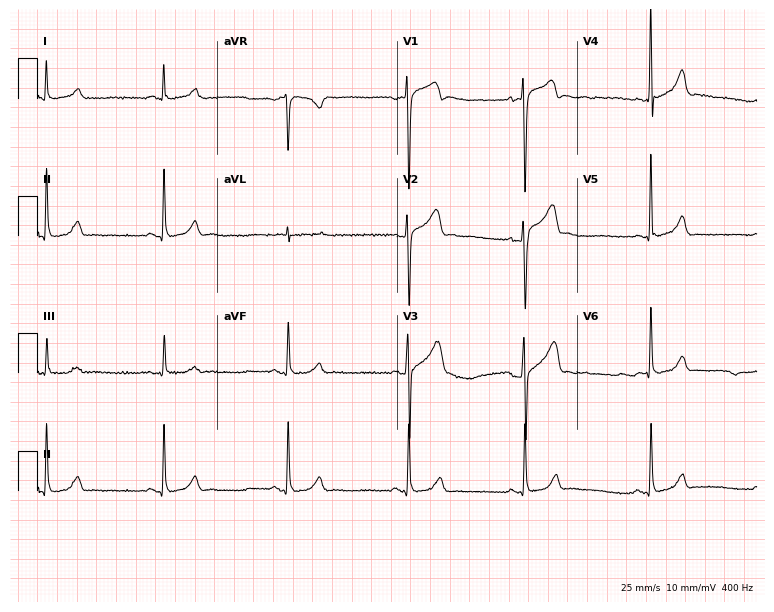
Standard 12-lead ECG recorded from a male, 28 years old. Read as a normal ECG.